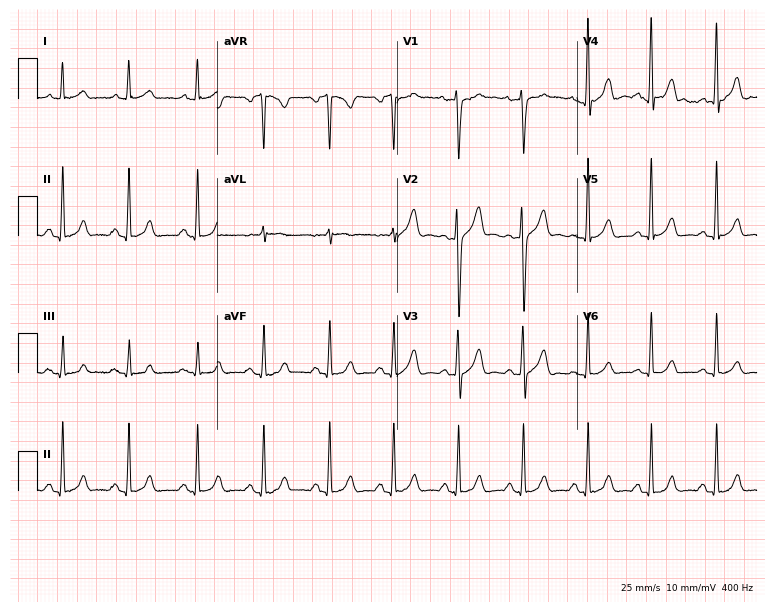
12-lead ECG from a 43-year-old man. No first-degree AV block, right bundle branch block, left bundle branch block, sinus bradycardia, atrial fibrillation or sinus tachycardia recorded for this tracing.